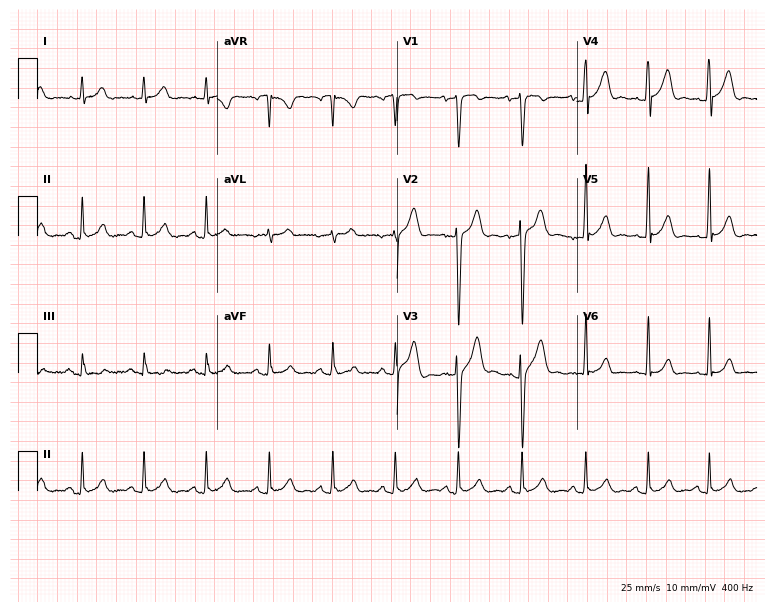
ECG (7.3-second recording at 400 Hz) — a male patient, 19 years old. Labelled as a normal ECG.